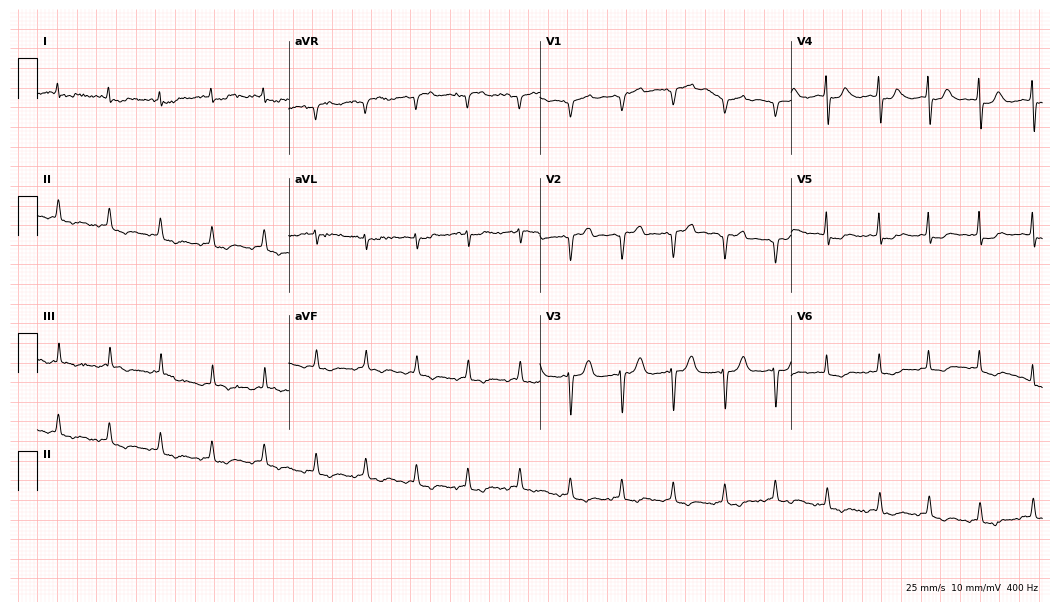
Electrocardiogram (10.2-second recording at 400 Hz), an 83-year-old female patient. Of the six screened findings (first-degree AV block, right bundle branch block (RBBB), left bundle branch block (LBBB), sinus bradycardia, atrial fibrillation (AF), sinus tachycardia), none is recorded.